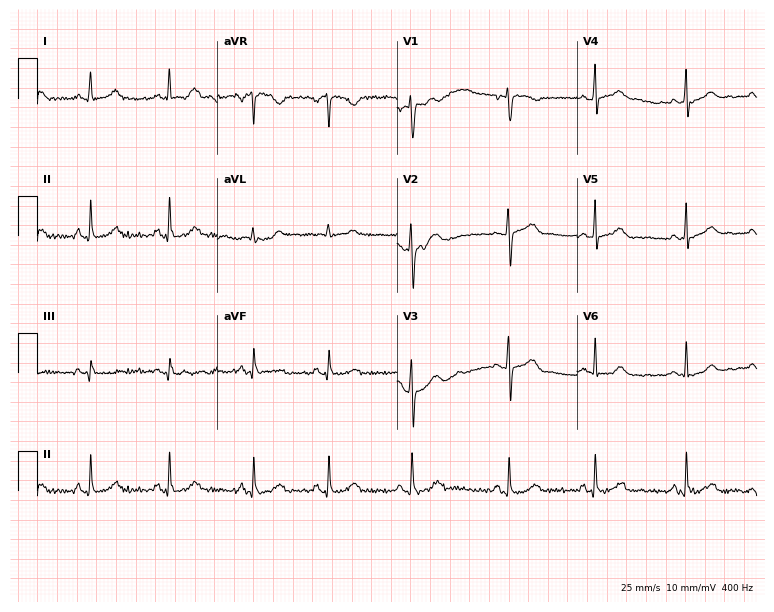
12-lead ECG from a 17-year-old woman. Labelled as a normal ECG.